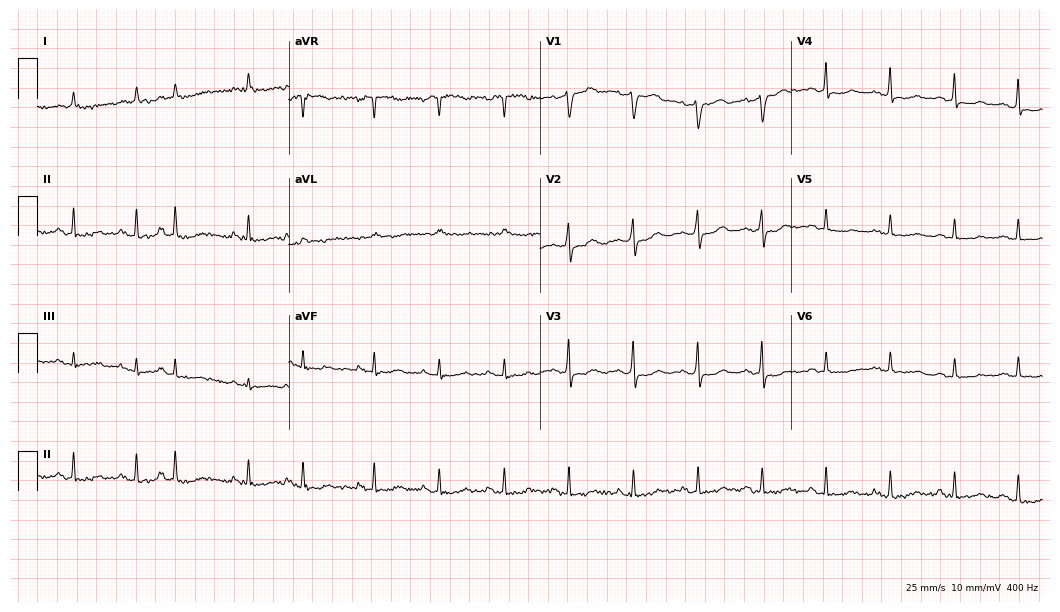
Standard 12-lead ECG recorded from a female patient, 57 years old (10.2-second recording at 400 Hz). None of these six findings is recorded: first-degree AV block, right bundle branch block (RBBB), left bundle branch block (LBBB), sinus bradycardia, atrial fibrillation (AF), sinus tachycardia.